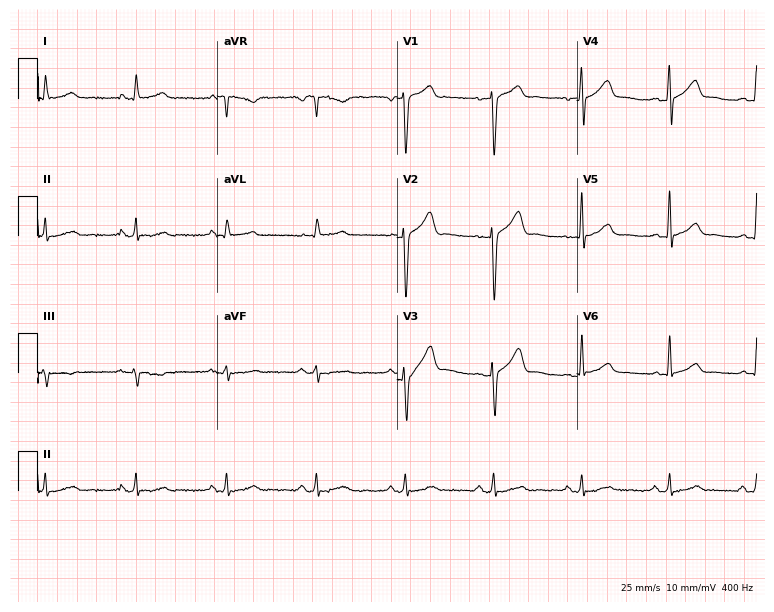
Resting 12-lead electrocardiogram (7.3-second recording at 400 Hz). Patient: a male, 61 years old. None of these six findings is recorded: first-degree AV block, right bundle branch block (RBBB), left bundle branch block (LBBB), sinus bradycardia, atrial fibrillation (AF), sinus tachycardia. Only these six findings were labelled.